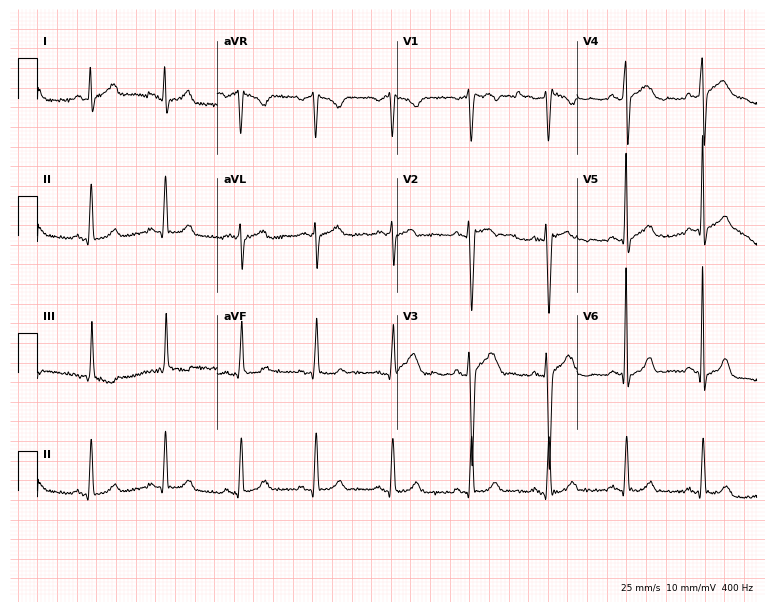
ECG — a 39-year-old man. Labelled as a normal ECG.